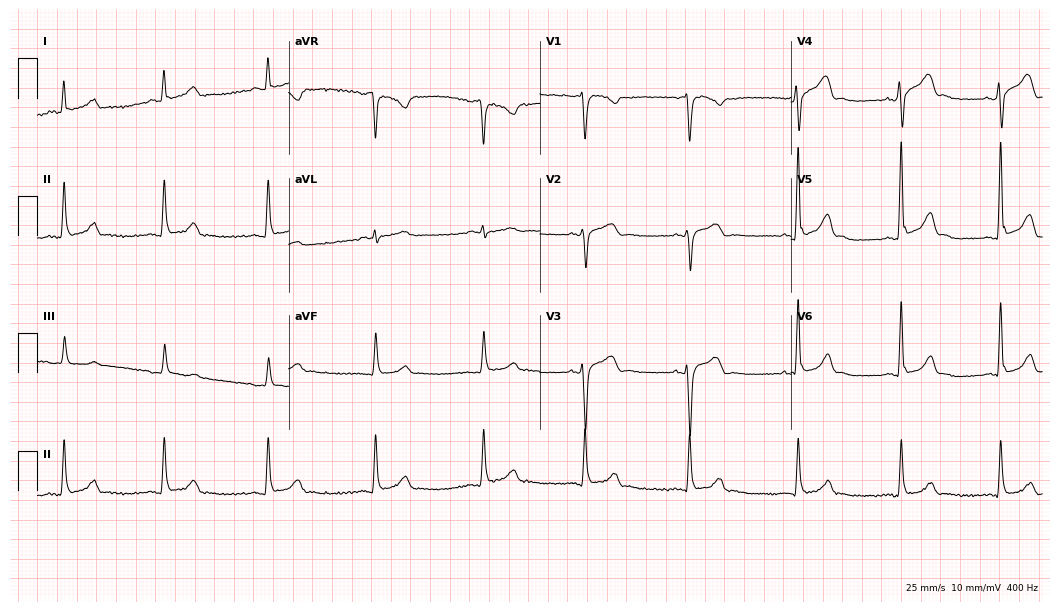
Electrocardiogram (10.2-second recording at 400 Hz), a 39-year-old male patient. Of the six screened findings (first-degree AV block, right bundle branch block, left bundle branch block, sinus bradycardia, atrial fibrillation, sinus tachycardia), none is recorded.